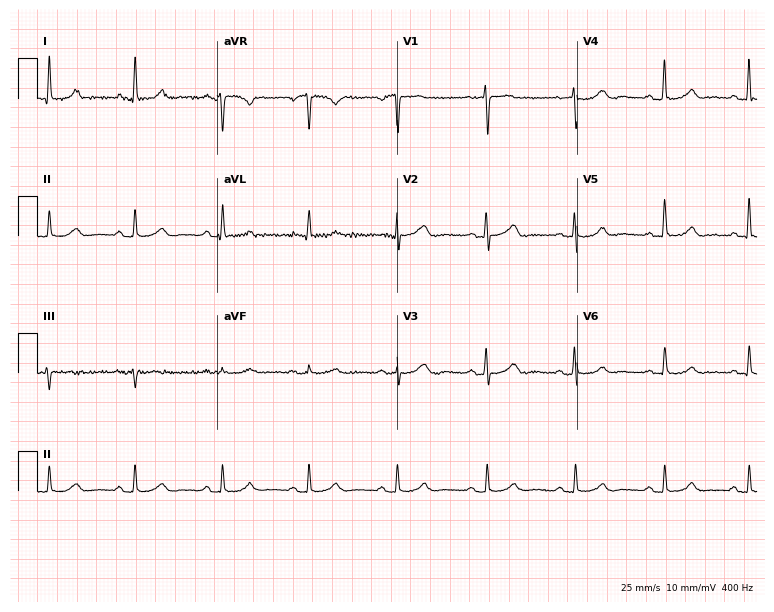
12-lead ECG from a female, 58 years old. Recorded interpretation: within normal limits.